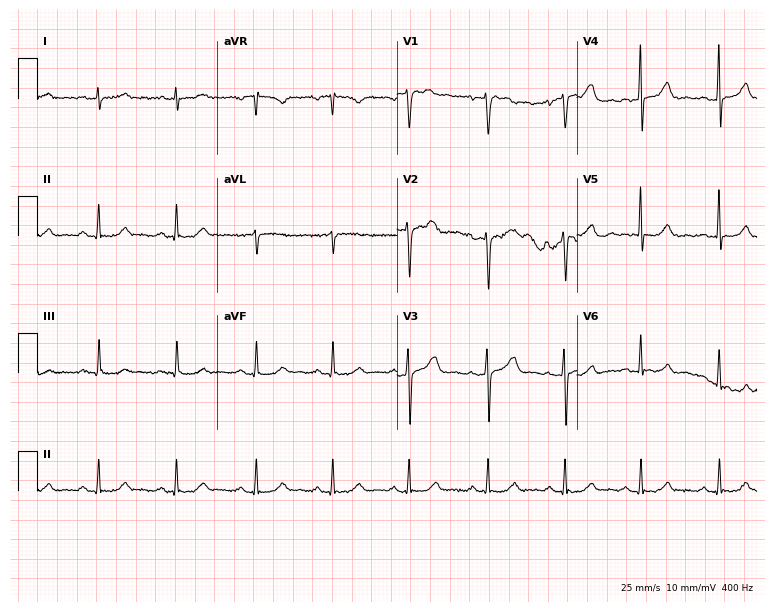
Standard 12-lead ECG recorded from a female patient, 50 years old. Read as a normal ECG.